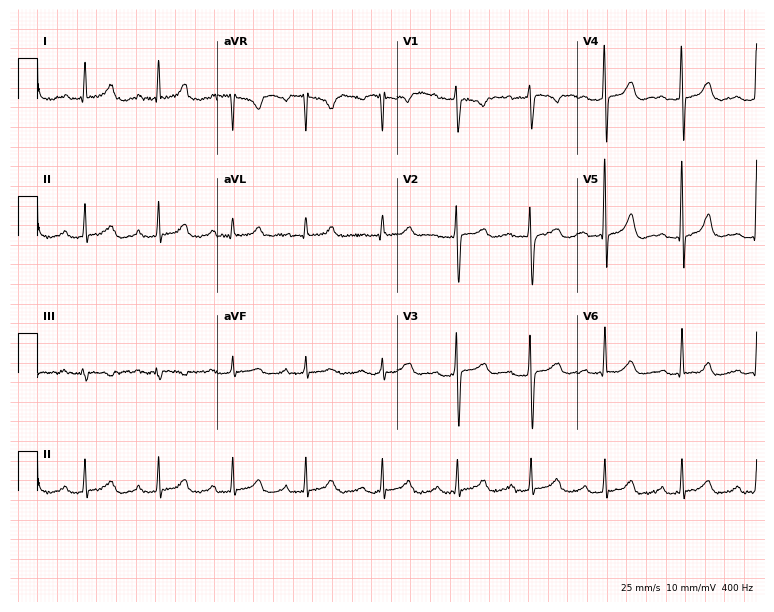
12-lead ECG from a 37-year-old female. Recorded interpretation: within normal limits.